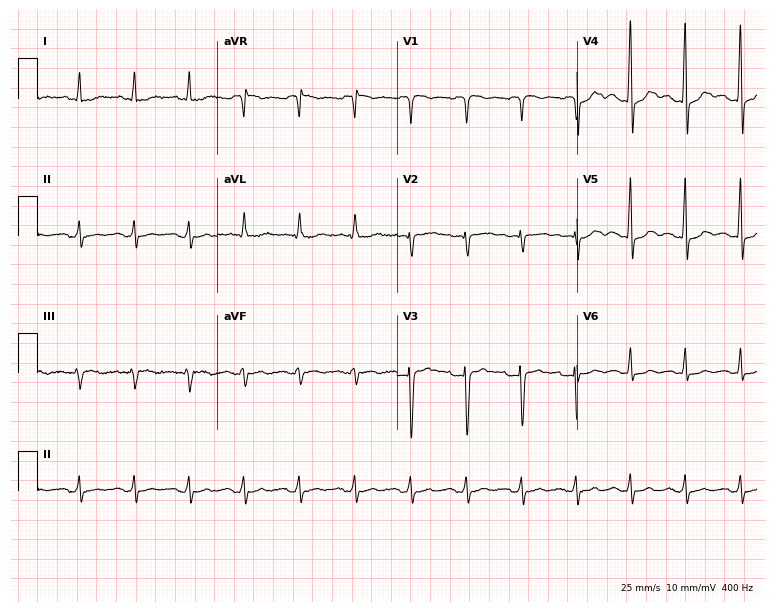
ECG (7.3-second recording at 400 Hz) — a 55-year-old man. Findings include sinus tachycardia (a sinus rate of 100 beats per minute or more).